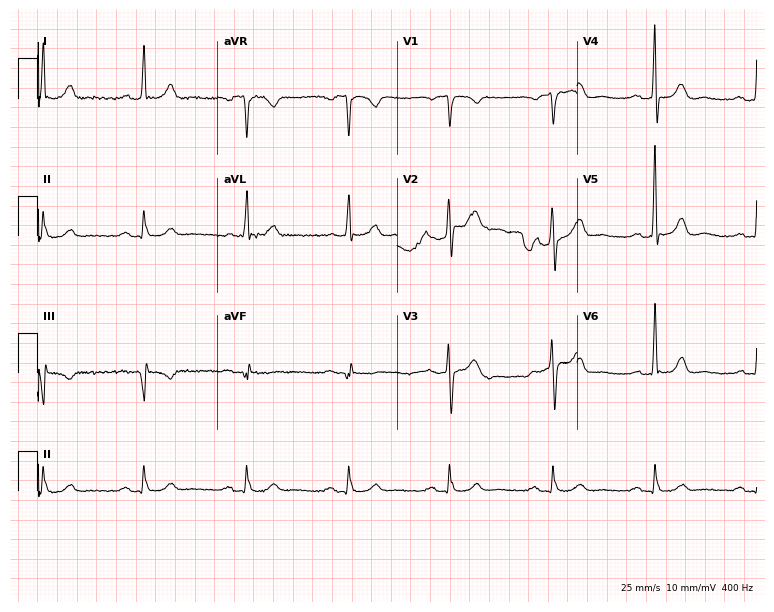
ECG — a 61-year-old male patient. Labelled as a normal ECG.